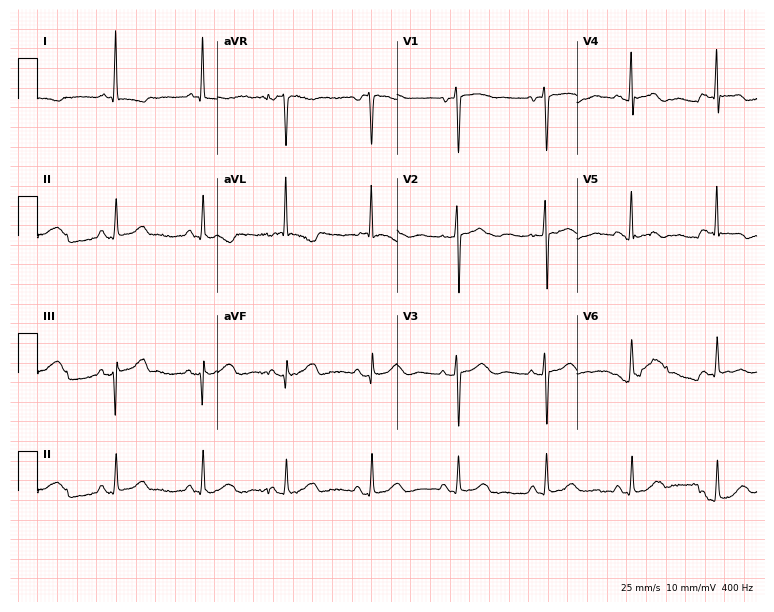
Resting 12-lead electrocardiogram (7.3-second recording at 400 Hz). Patient: an 83-year-old female. None of these six findings is recorded: first-degree AV block, right bundle branch block (RBBB), left bundle branch block (LBBB), sinus bradycardia, atrial fibrillation (AF), sinus tachycardia. Other findings, if any, are not listed.